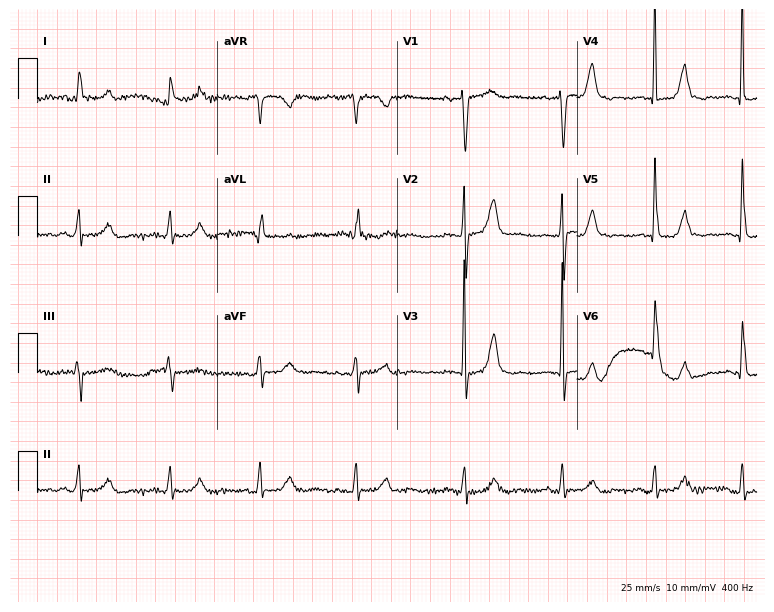
ECG (7.3-second recording at 400 Hz) — an 81-year-old male patient. Screened for six findings — first-degree AV block, right bundle branch block, left bundle branch block, sinus bradycardia, atrial fibrillation, sinus tachycardia — none is recorded. Only these six findings were labelled.